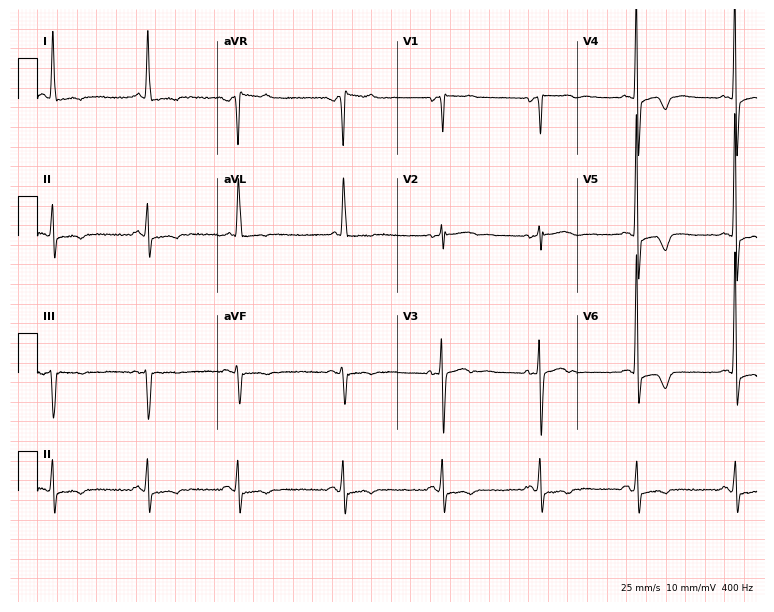
Resting 12-lead electrocardiogram. Patient: a female, 75 years old. None of these six findings is recorded: first-degree AV block, right bundle branch block (RBBB), left bundle branch block (LBBB), sinus bradycardia, atrial fibrillation (AF), sinus tachycardia.